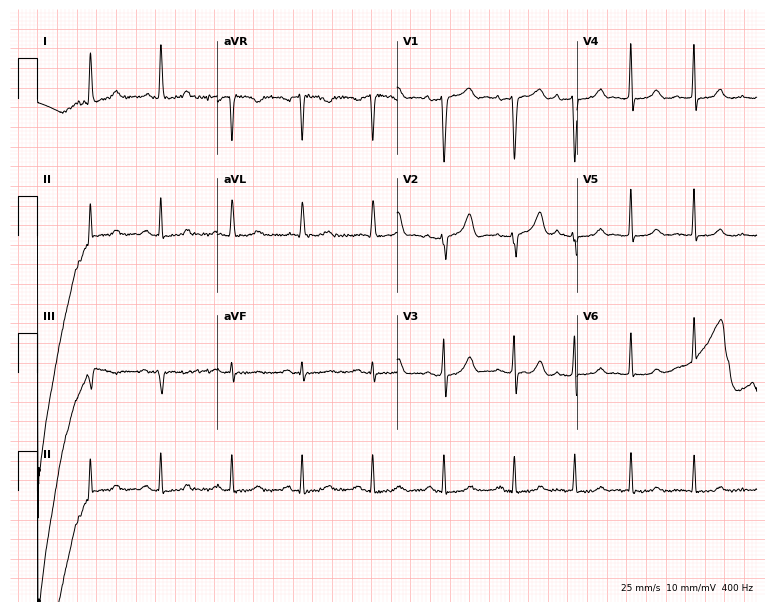
ECG (7.3-second recording at 400 Hz) — a 65-year-old female. Labelled as a normal ECG.